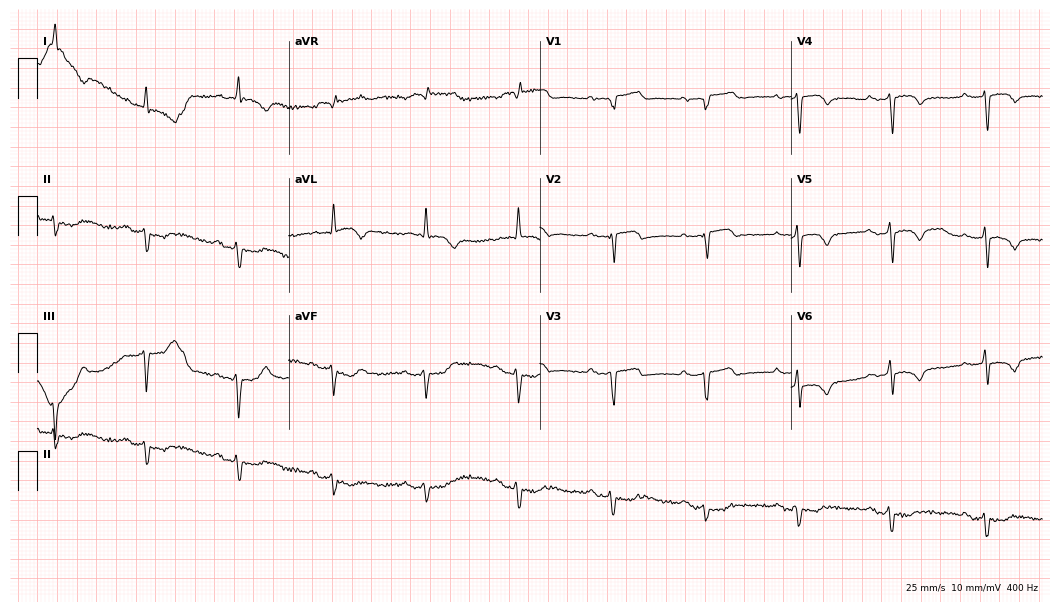
12-lead ECG from a male, 68 years old. Screened for six findings — first-degree AV block, right bundle branch block, left bundle branch block, sinus bradycardia, atrial fibrillation, sinus tachycardia — none is recorded.